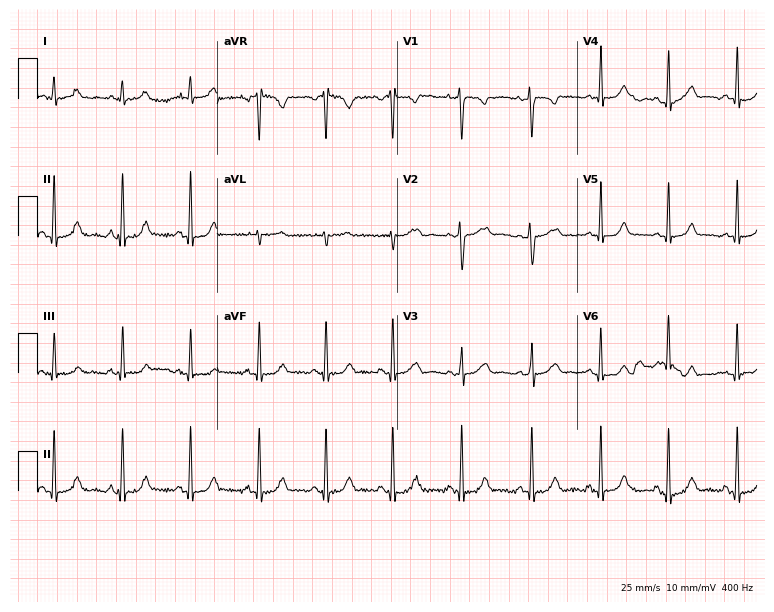
Standard 12-lead ECG recorded from a woman, 19 years old (7.3-second recording at 400 Hz). Read as a normal ECG.